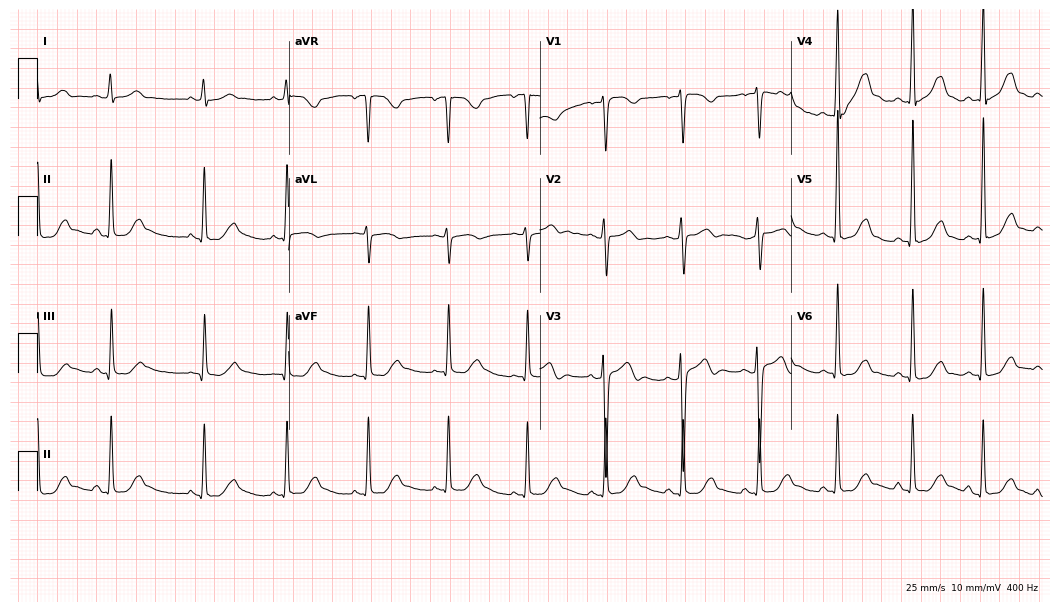
Resting 12-lead electrocardiogram (10.2-second recording at 400 Hz). Patient: a 39-year-old male. Read as a normal ECG.